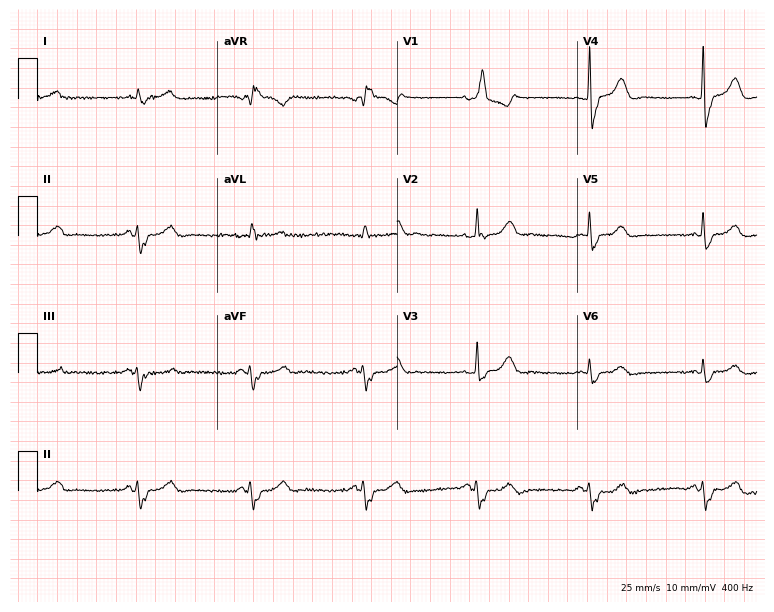
ECG (7.3-second recording at 400 Hz) — a 74-year-old man. Findings include right bundle branch block (RBBB).